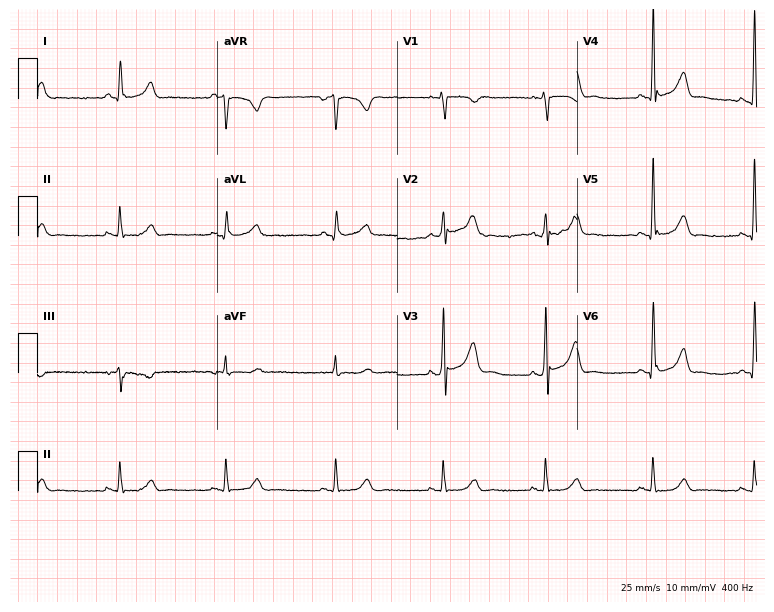
12-lead ECG from a 68-year-old male. Labelled as a normal ECG.